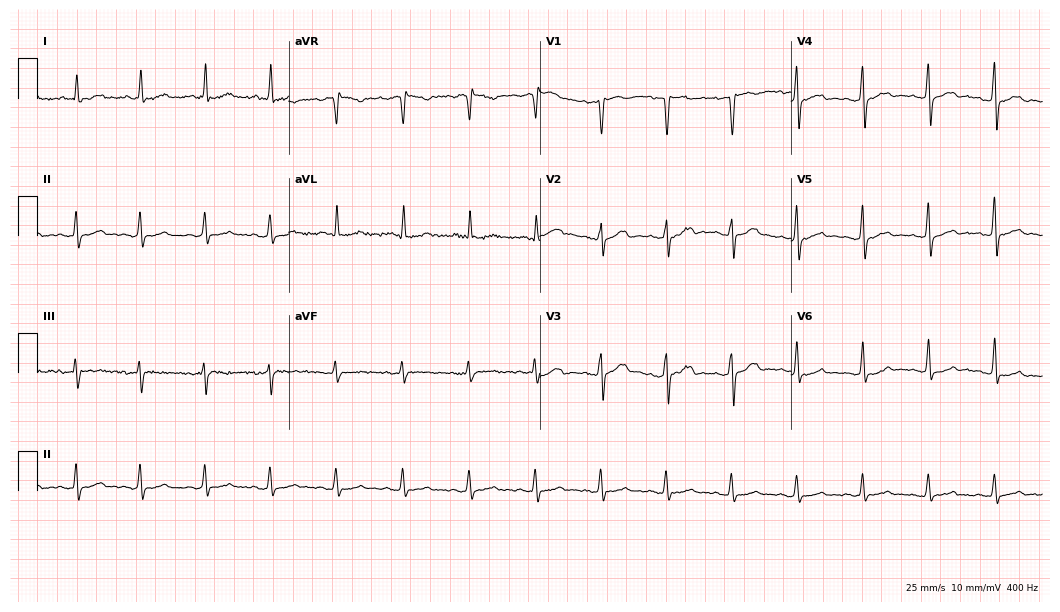
12-lead ECG from a female, 40 years old. No first-degree AV block, right bundle branch block, left bundle branch block, sinus bradycardia, atrial fibrillation or sinus tachycardia recorded for this tracing.